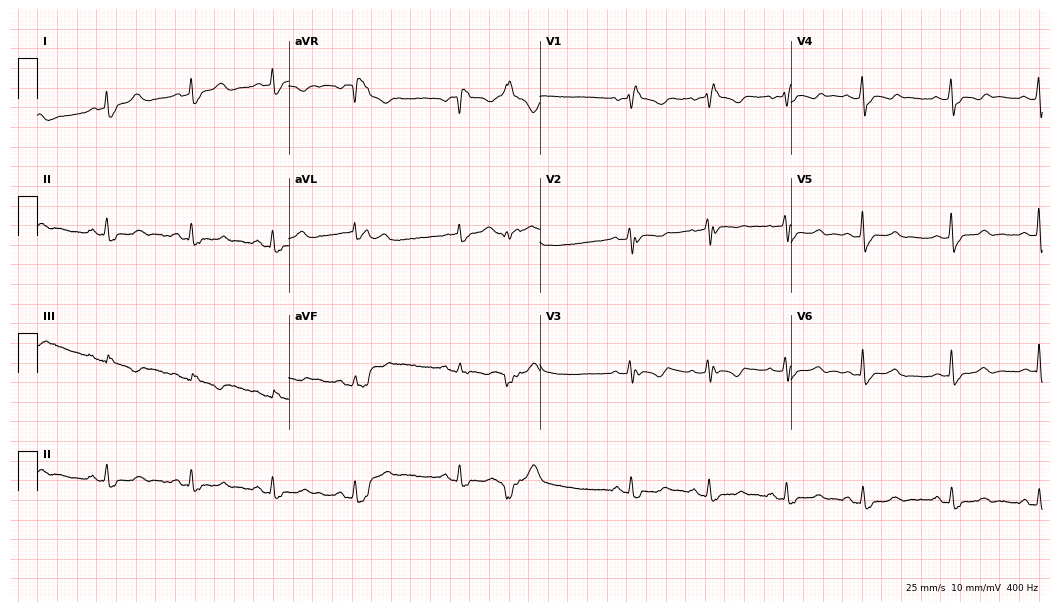
ECG (10.2-second recording at 400 Hz) — a 59-year-old female. Findings include right bundle branch block.